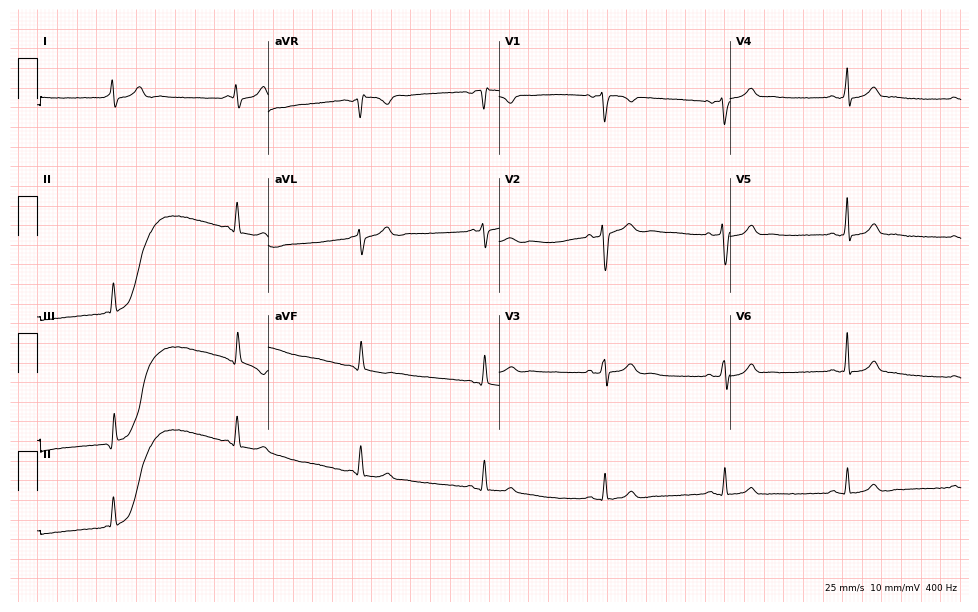
ECG (9.4-second recording at 400 Hz) — a 41-year-old male patient. Screened for six findings — first-degree AV block, right bundle branch block, left bundle branch block, sinus bradycardia, atrial fibrillation, sinus tachycardia — none is recorded.